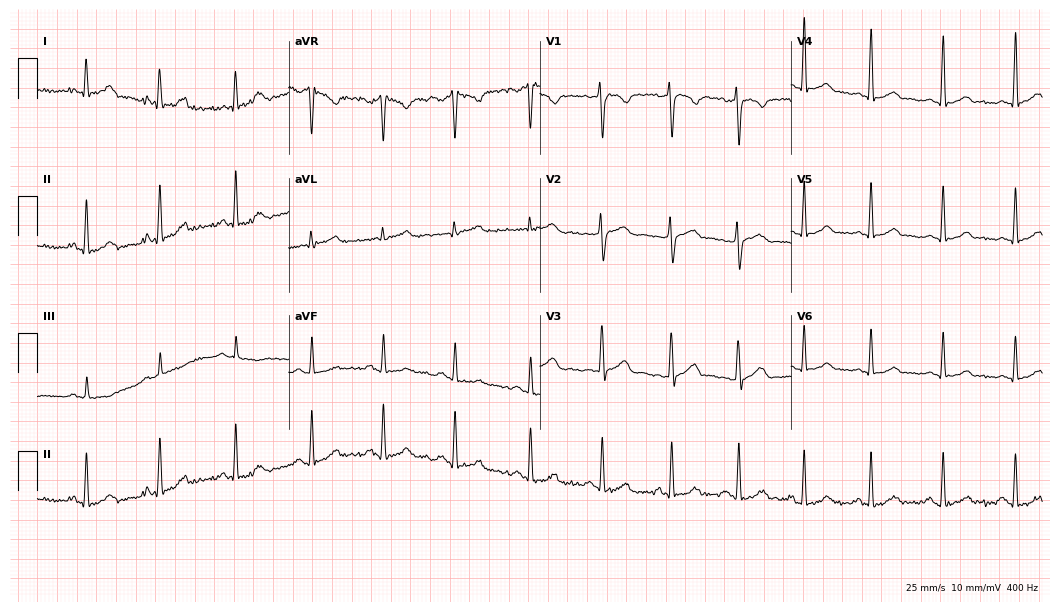
ECG (10.2-second recording at 400 Hz) — a male patient, 17 years old. Labelled as a normal ECG.